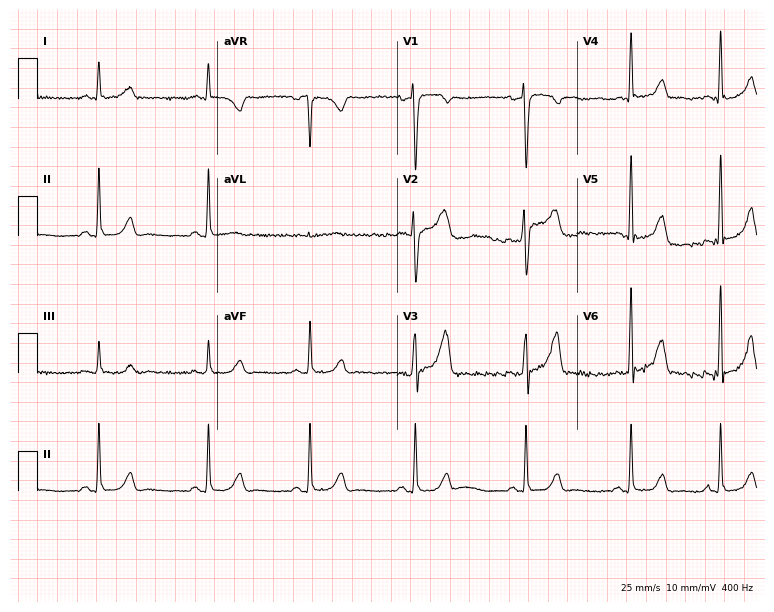
ECG (7.3-second recording at 400 Hz) — a 40-year-old male patient. Labelled as a normal ECG.